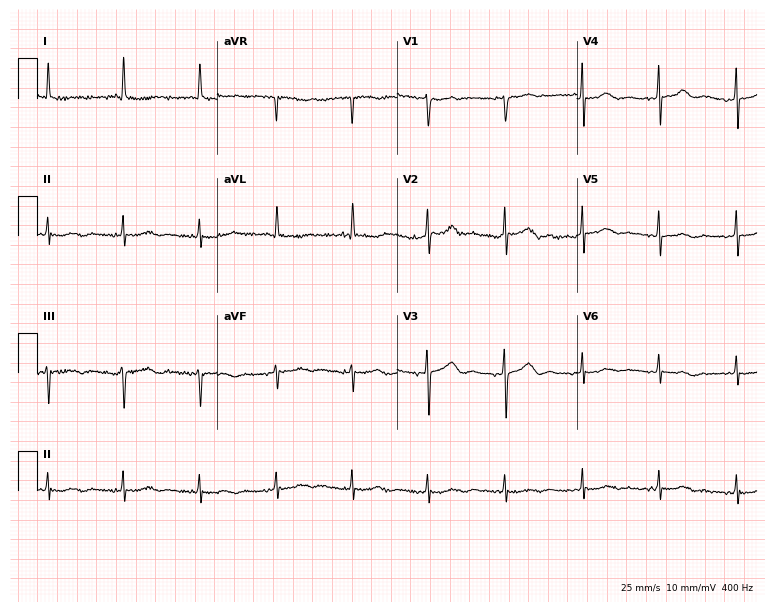
Resting 12-lead electrocardiogram (7.3-second recording at 400 Hz). Patient: a 59-year-old woman. None of these six findings is recorded: first-degree AV block, right bundle branch block, left bundle branch block, sinus bradycardia, atrial fibrillation, sinus tachycardia.